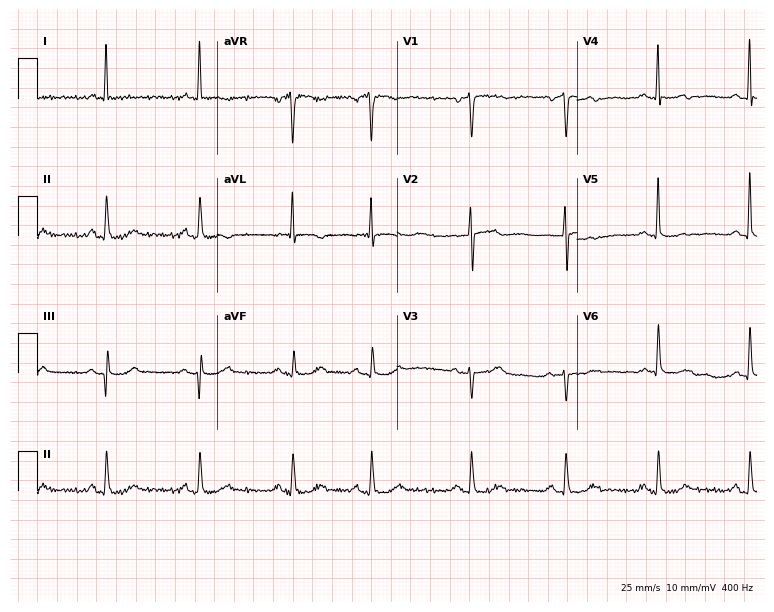
12-lead ECG from an 84-year-old female patient (7.3-second recording at 400 Hz). No first-degree AV block, right bundle branch block, left bundle branch block, sinus bradycardia, atrial fibrillation or sinus tachycardia recorded for this tracing. Other findings, if any, are not listed.